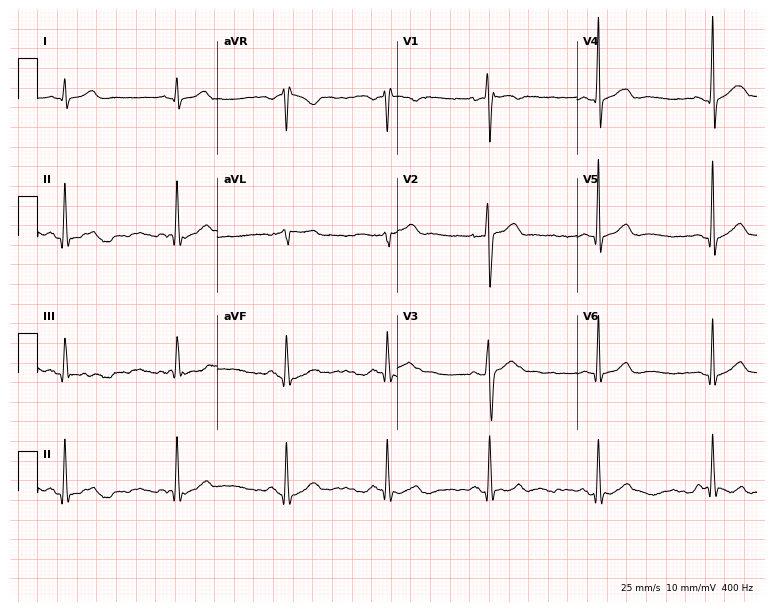
12-lead ECG from a male patient, 39 years old. No first-degree AV block, right bundle branch block (RBBB), left bundle branch block (LBBB), sinus bradycardia, atrial fibrillation (AF) or sinus tachycardia recorded for this tracing.